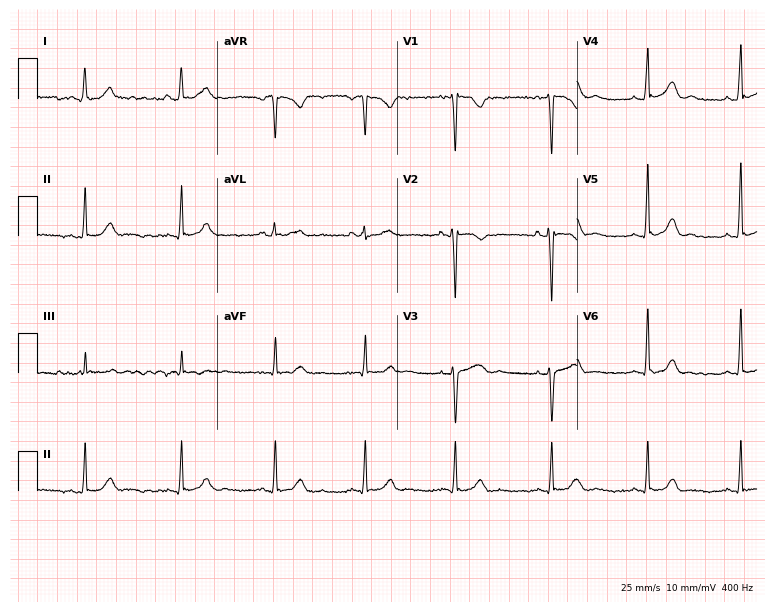
Resting 12-lead electrocardiogram (7.3-second recording at 400 Hz). Patient: a woman, 27 years old. Read as a normal ECG.